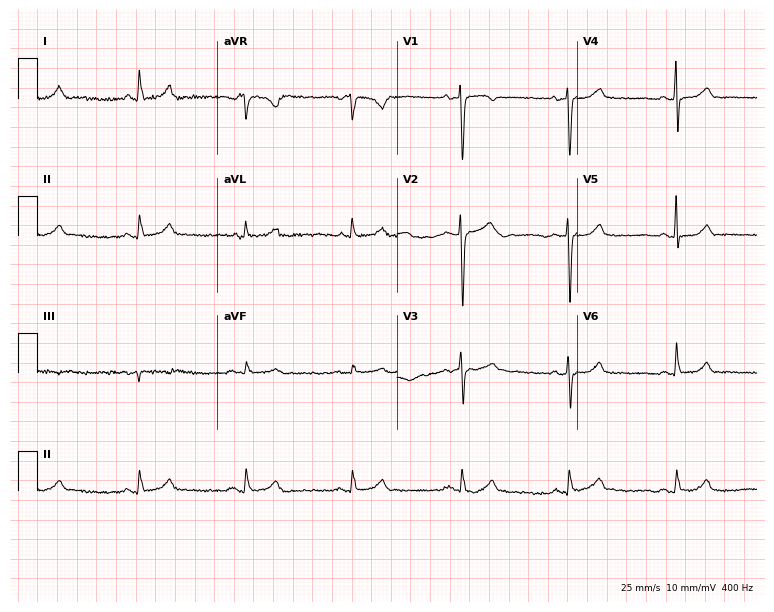
Electrocardiogram (7.3-second recording at 400 Hz), a 70-year-old man. Overall reading on record: normal ECG.